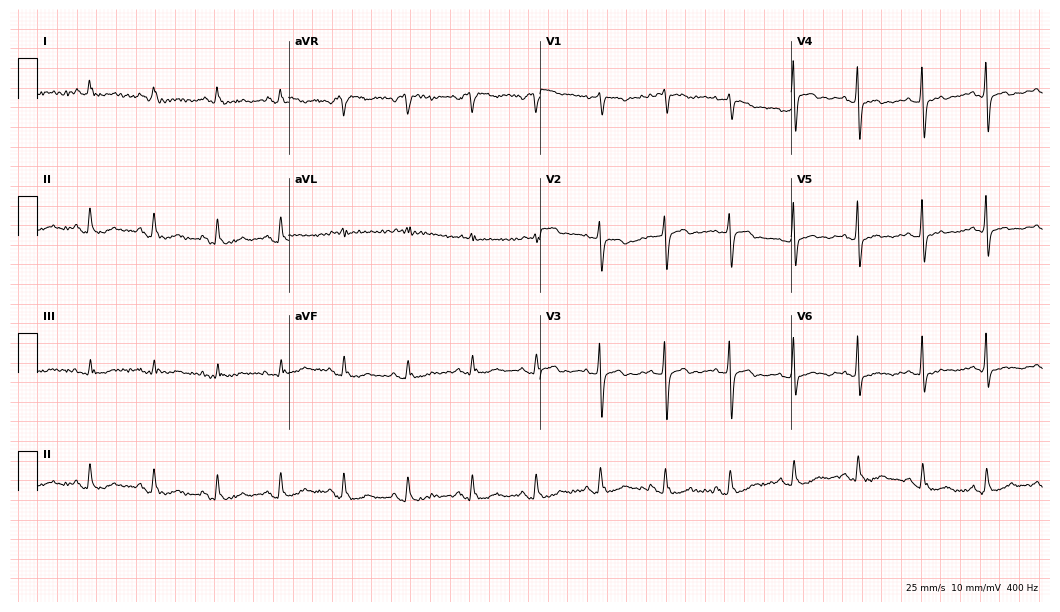
12-lead ECG (10.2-second recording at 400 Hz) from a 67-year-old female. Screened for six findings — first-degree AV block, right bundle branch block, left bundle branch block, sinus bradycardia, atrial fibrillation, sinus tachycardia — none is recorded.